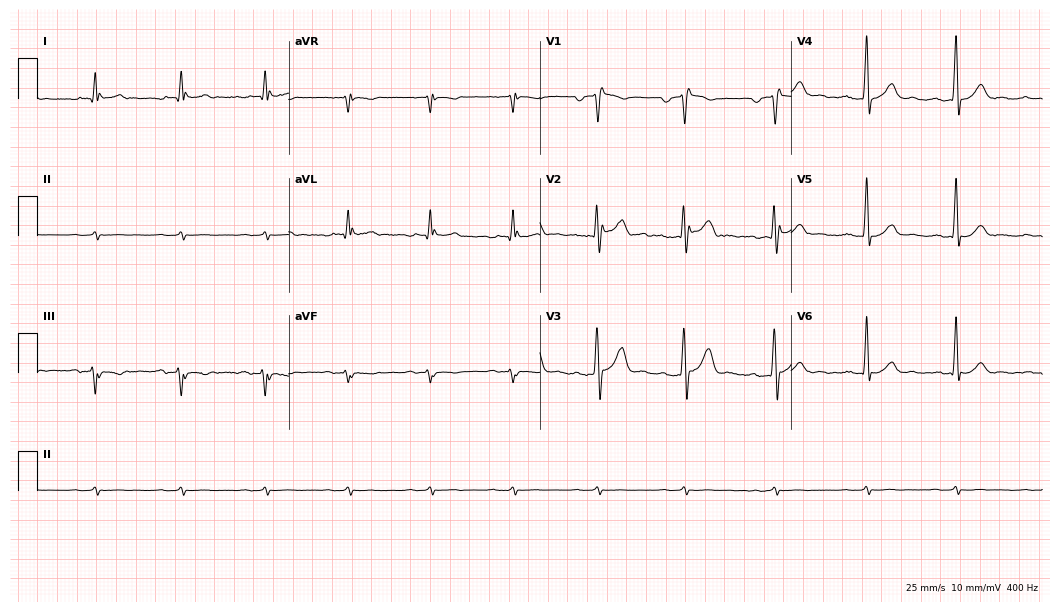
ECG — a 45-year-old male patient. Screened for six findings — first-degree AV block, right bundle branch block (RBBB), left bundle branch block (LBBB), sinus bradycardia, atrial fibrillation (AF), sinus tachycardia — none is recorded. Findings outside these six are not listed.